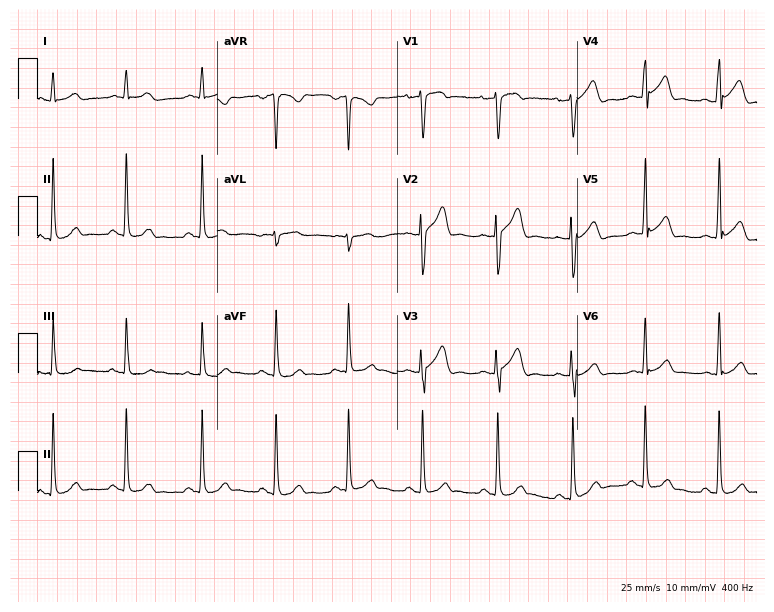
12-lead ECG from a 29-year-old male. Recorded interpretation: within normal limits.